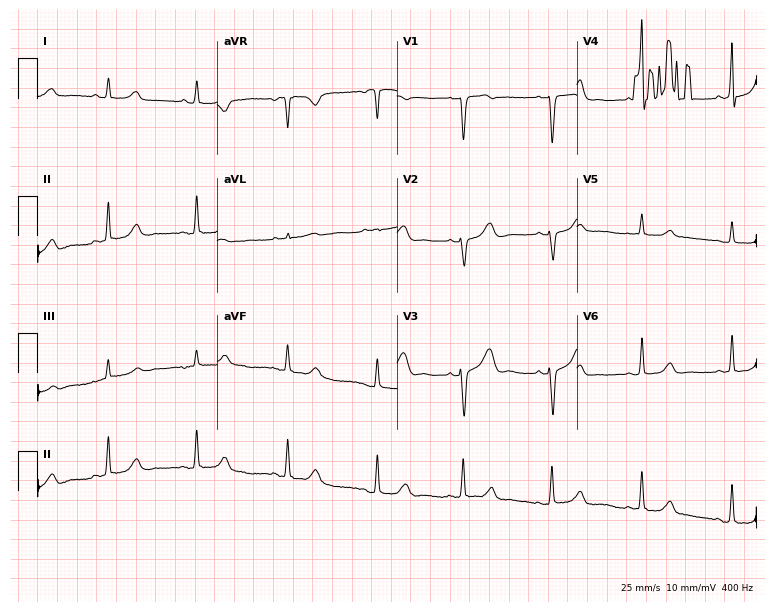
12-lead ECG from a woman, 58 years old. No first-degree AV block, right bundle branch block (RBBB), left bundle branch block (LBBB), sinus bradycardia, atrial fibrillation (AF) or sinus tachycardia recorded for this tracing. Only these six findings were labelled.